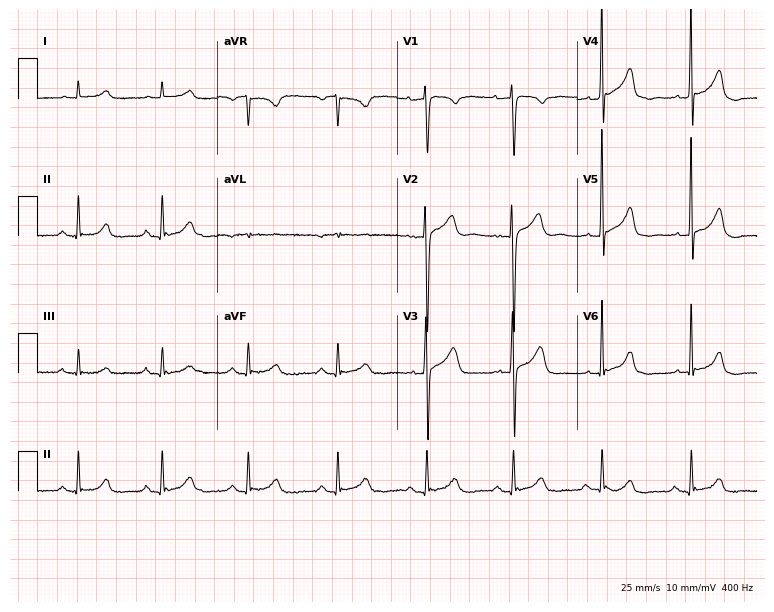
Electrocardiogram (7.3-second recording at 400 Hz), a 65-year-old woman. Of the six screened findings (first-degree AV block, right bundle branch block, left bundle branch block, sinus bradycardia, atrial fibrillation, sinus tachycardia), none is recorded. Other findings, if any, are not listed.